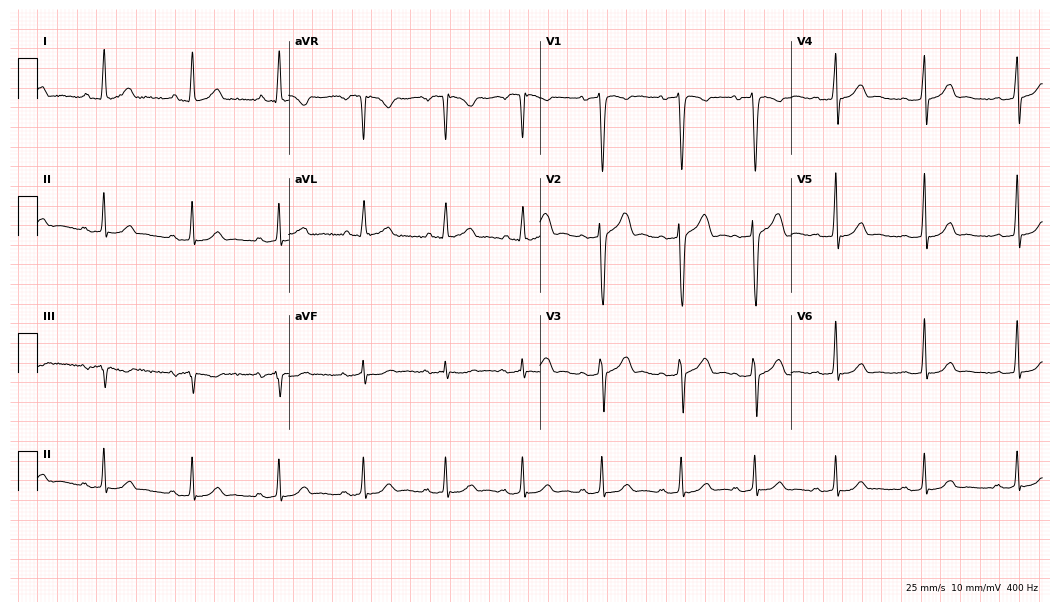
12-lead ECG from a 31-year-old woman. Labelled as a normal ECG.